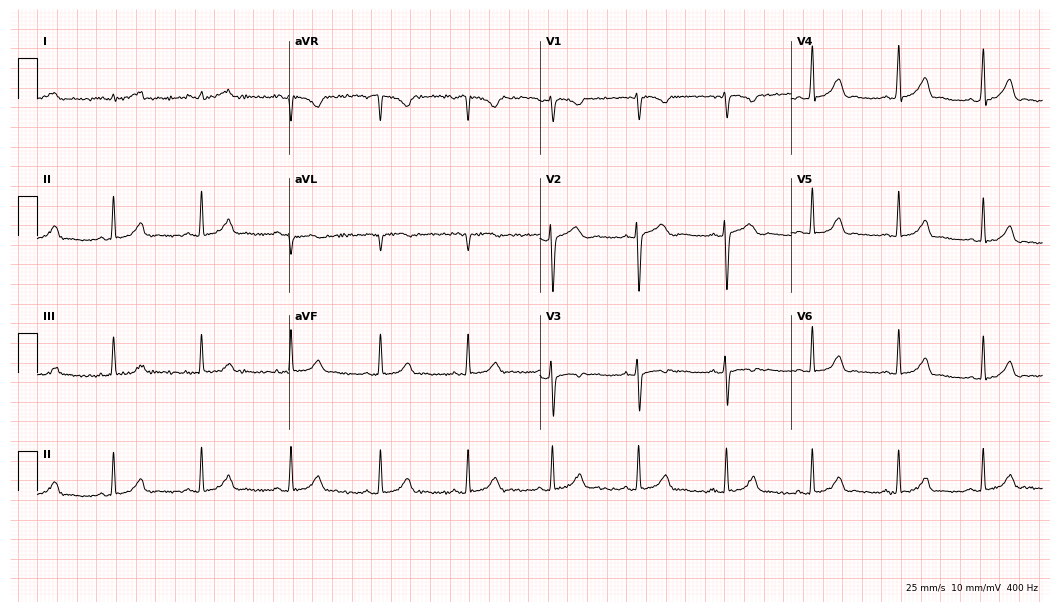
Resting 12-lead electrocardiogram (10.2-second recording at 400 Hz). Patient: a 38-year-old female. Read as a normal ECG.